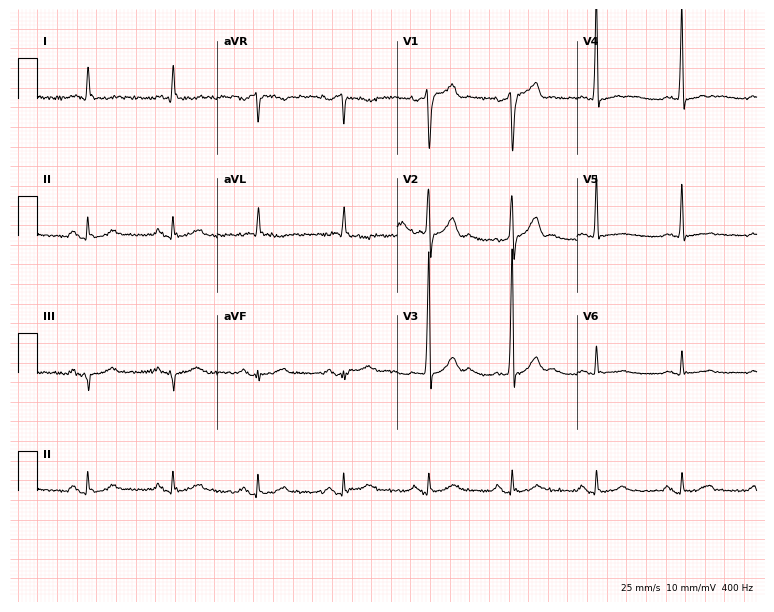
ECG — a male, 62 years old. Screened for six findings — first-degree AV block, right bundle branch block, left bundle branch block, sinus bradycardia, atrial fibrillation, sinus tachycardia — none is recorded. Only these six findings were labelled.